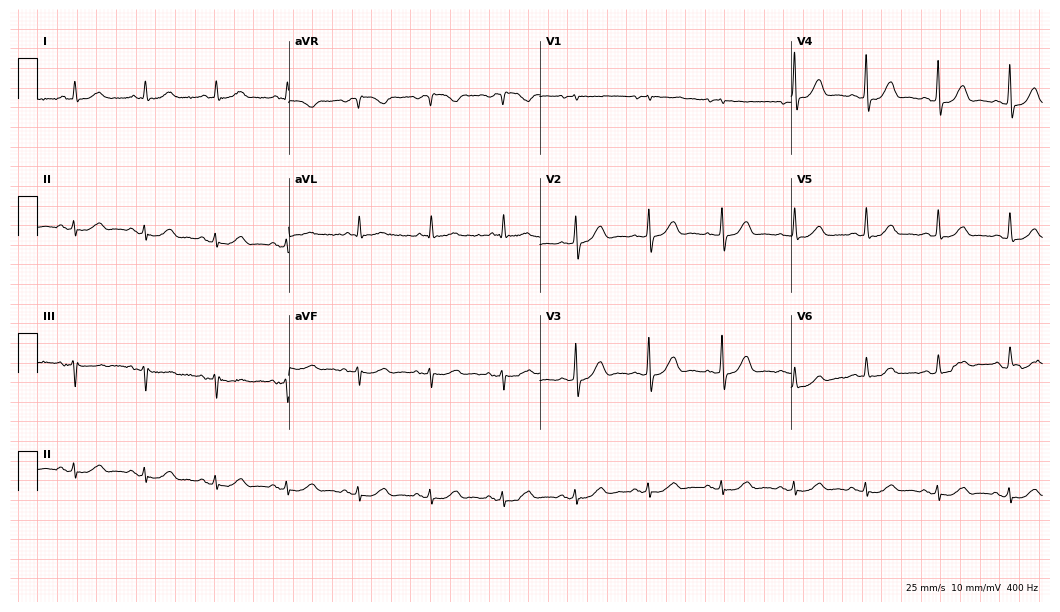
ECG — a man, 83 years old. Labelled as a normal ECG.